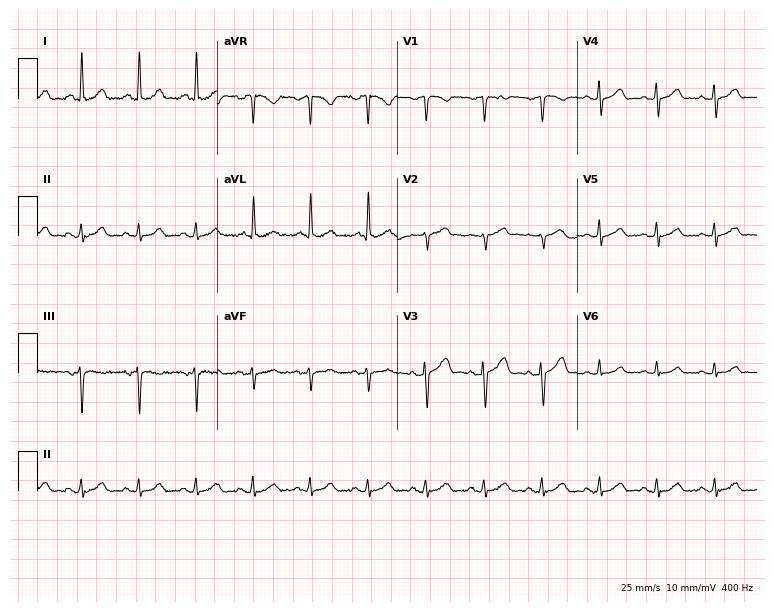
Electrocardiogram, a woman, 57 years old. Interpretation includes sinus tachycardia (a sinus rate of 100 beats per minute or more).